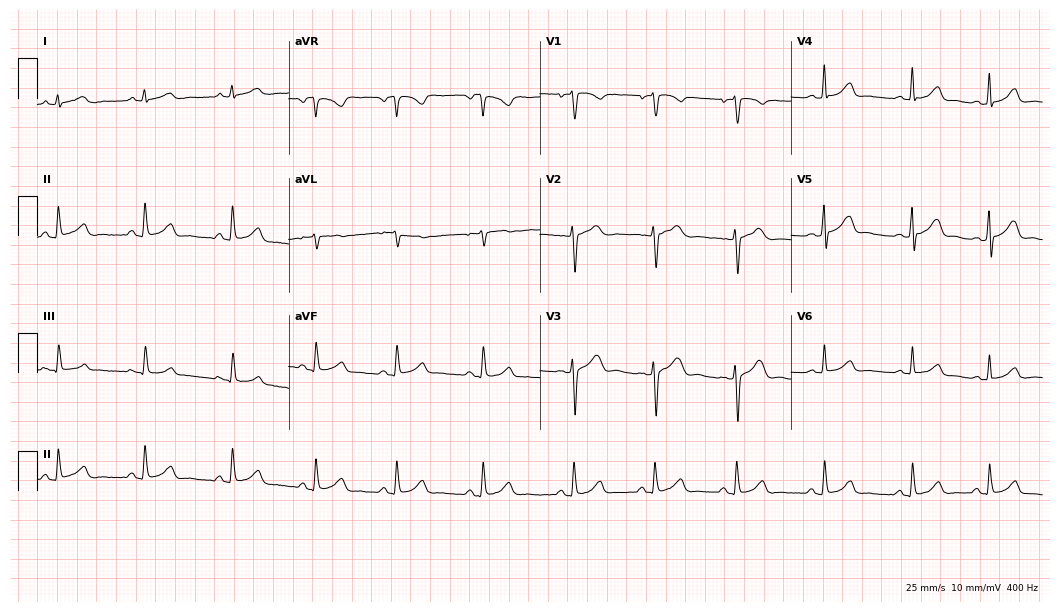
ECG (10.2-second recording at 400 Hz) — a 24-year-old woman. Labelled as a normal ECG.